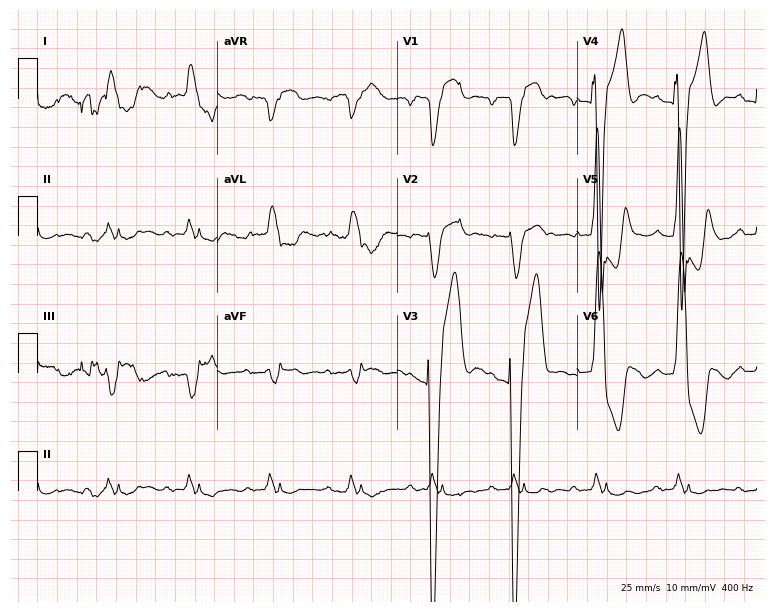
ECG — an 84-year-old male patient. Findings include left bundle branch block (LBBB).